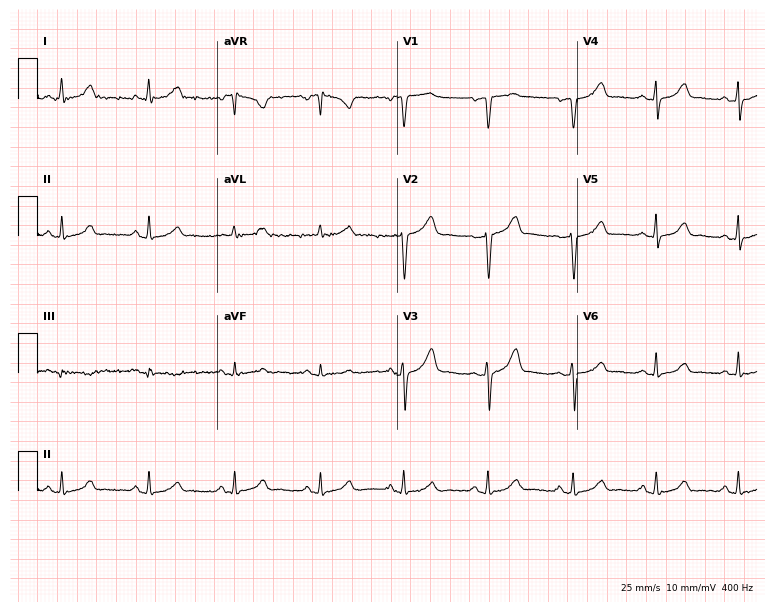
Standard 12-lead ECG recorded from a 57-year-old female. Read as a normal ECG.